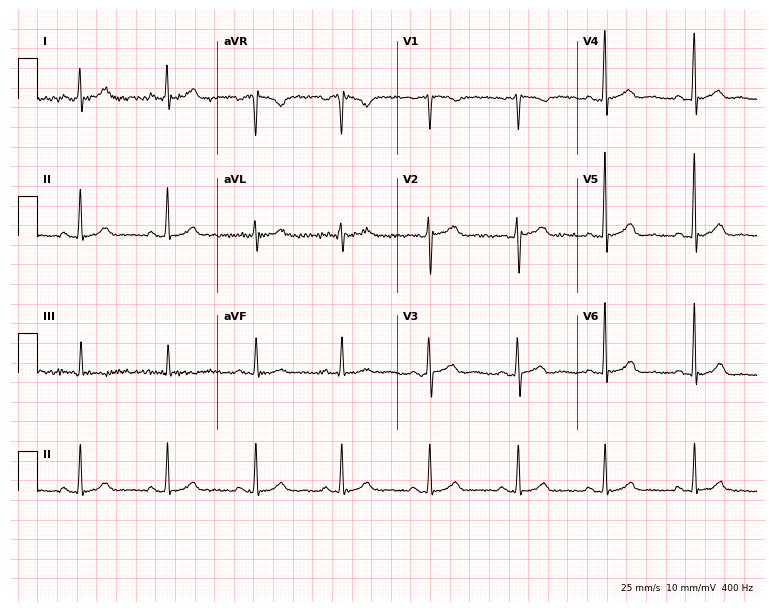
12-lead ECG (7.3-second recording at 400 Hz) from a male patient, 38 years old. Labelled as a normal ECG.